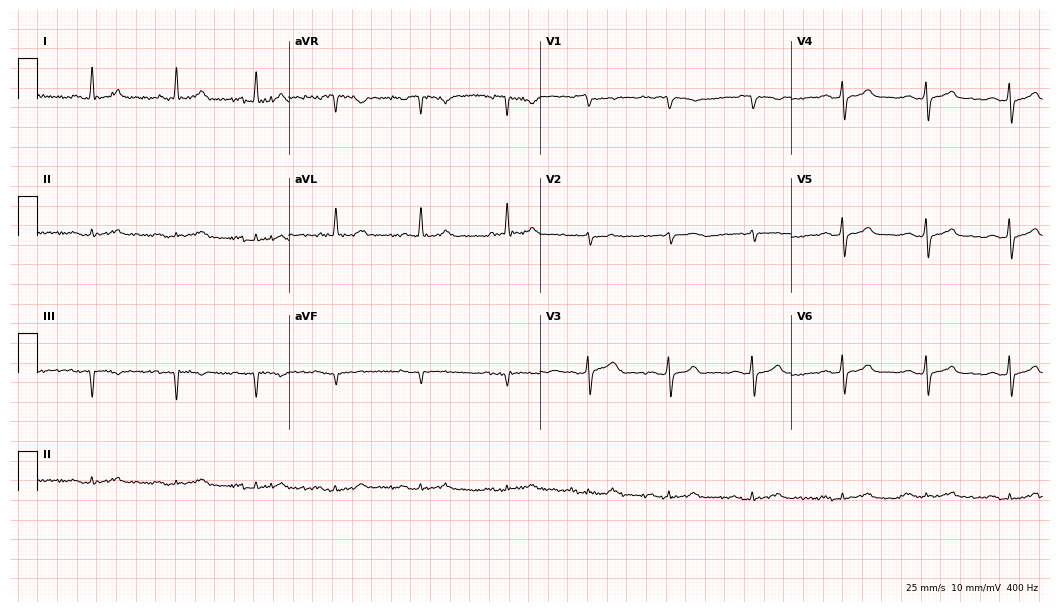
ECG — a 71-year-old male patient. Screened for six findings — first-degree AV block, right bundle branch block, left bundle branch block, sinus bradycardia, atrial fibrillation, sinus tachycardia — none is recorded. Other findings, if any, are not listed.